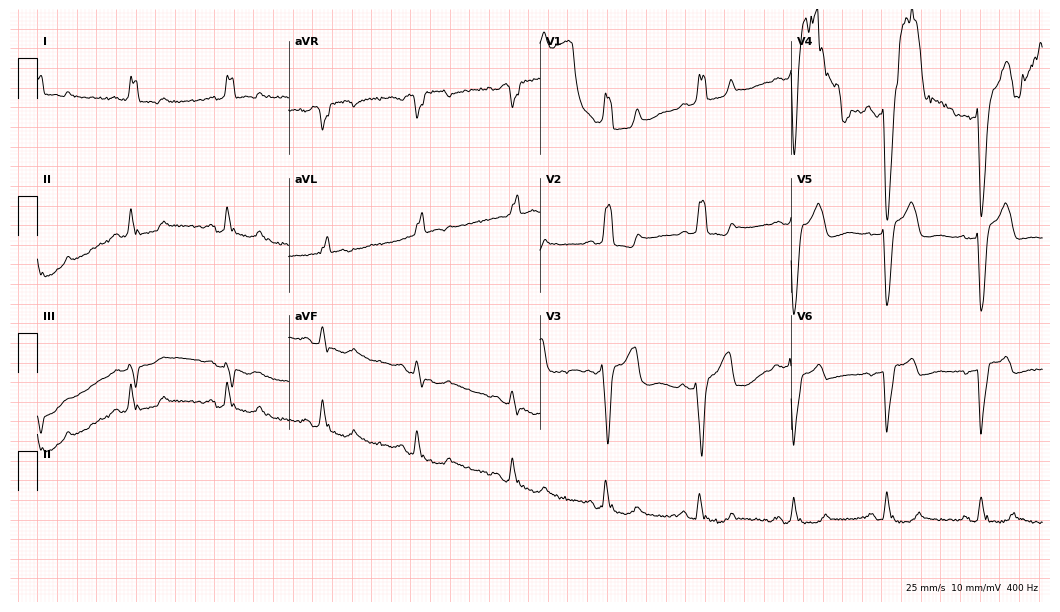
Resting 12-lead electrocardiogram. Patient: a male, 77 years old. The tracing shows left bundle branch block.